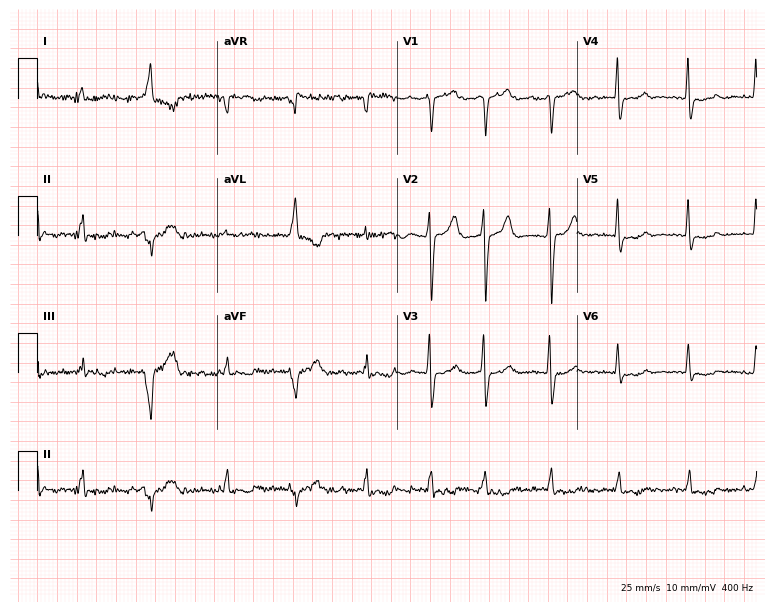
Resting 12-lead electrocardiogram (7.3-second recording at 400 Hz). Patient: a man, 76 years old. None of these six findings is recorded: first-degree AV block, right bundle branch block, left bundle branch block, sinus bradycardia, atrial fibrillation, sinus tachycardia.